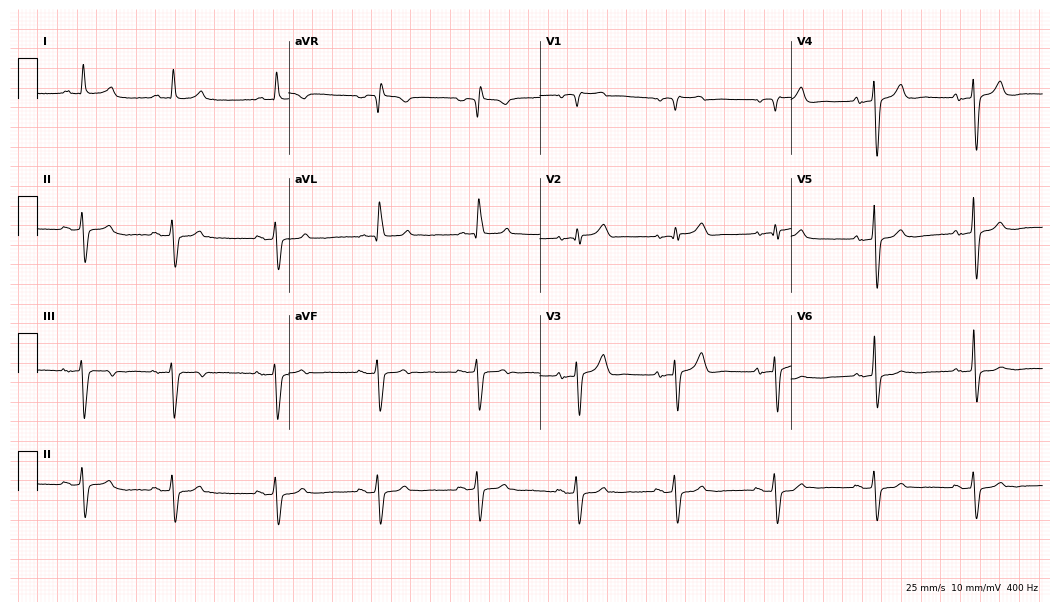
Resting 12-lead electrocardiogram (10.2-second recording at 400 Hz). Patient: a 79-year-old man. None of these six findings is recorded: first-degree AV block, right bundle branch block (RBBB), left bundle branch block (LBBB), sinus bradycardia, atrial fibrillation (AF), sinus tachycardia.